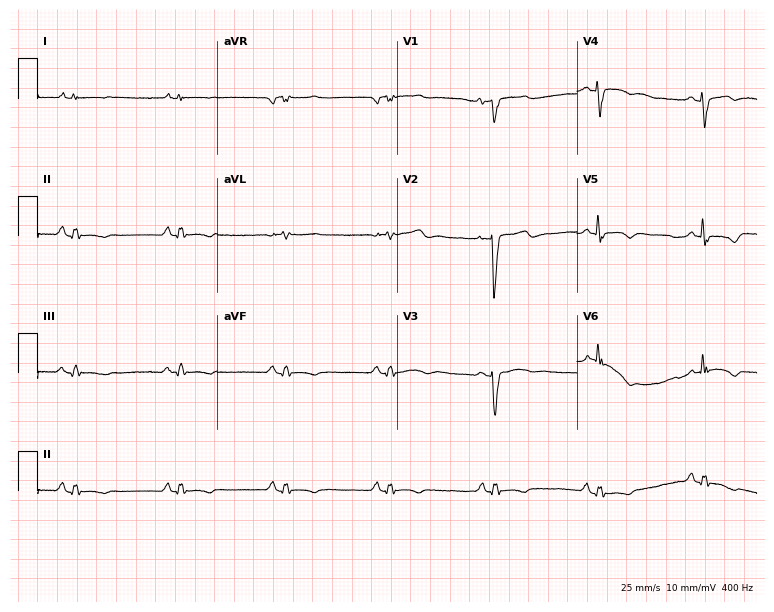
Standard 12-lead ECG recorded from a 46-year-old female (7.3-second recording at 400 Hz). None of these six findings is recorded: first-degree AV block, right bundle branch block, left bundle branch block, sinus bradycardia, atrial fibrillation, sinus tachycardia.